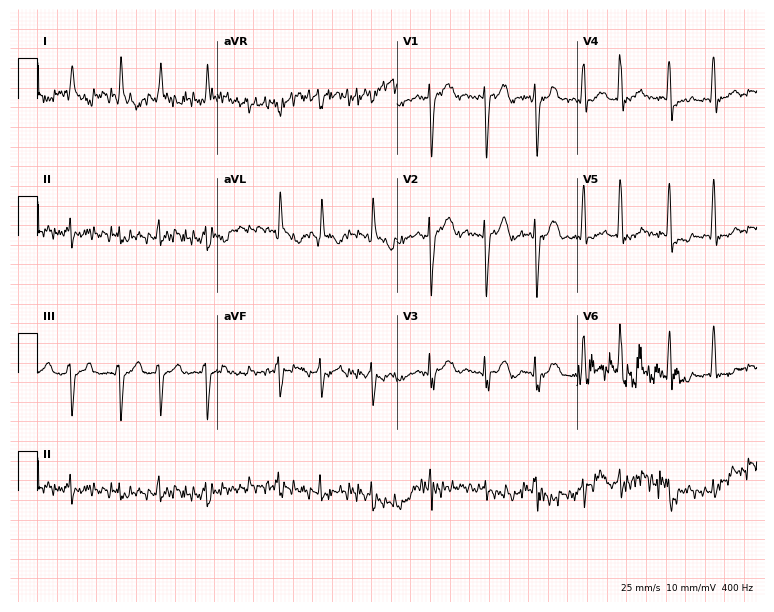
ECG — a woman, 67 years old. Findings include atrial fibrillation (AF).